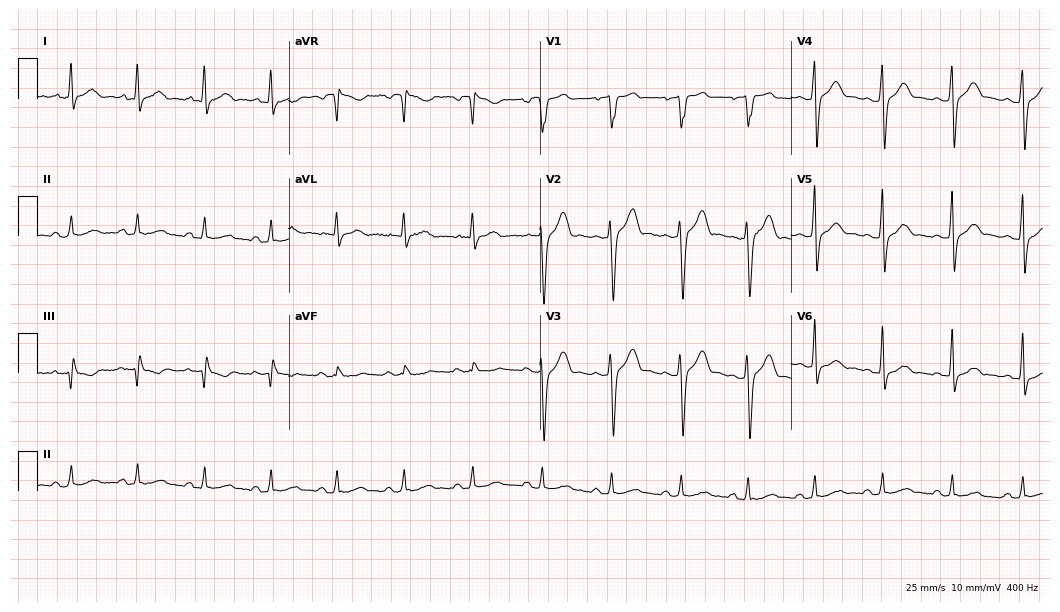
Electrocardiogram, a male patient, 38 years old. Overall reading on record: normal ECG.